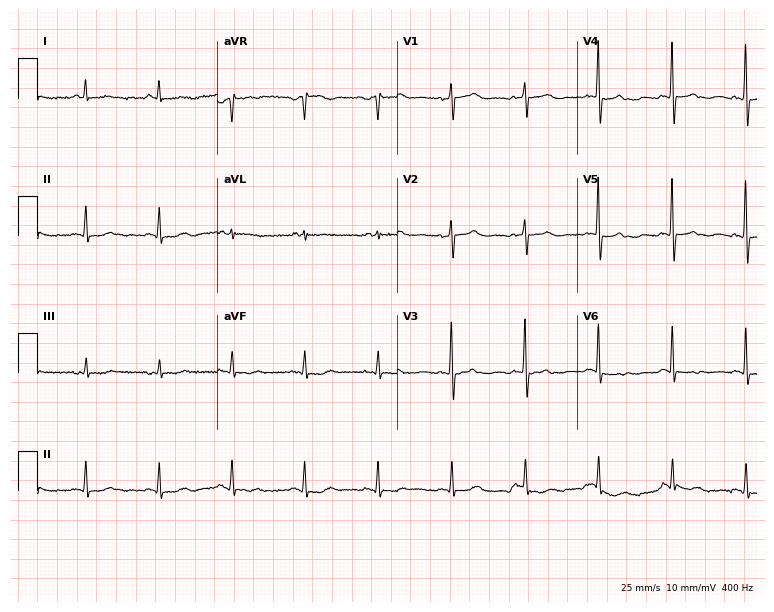
Standard 12-lead ECG recorded from a 76-year-old woman. None of these six findings is recorded: first-degree AV block, right bundle branch block (RBBB), left bundle branch block (LBBB), sinus bradycardia, atrial fibrillation (AF), sinus tachycardia.